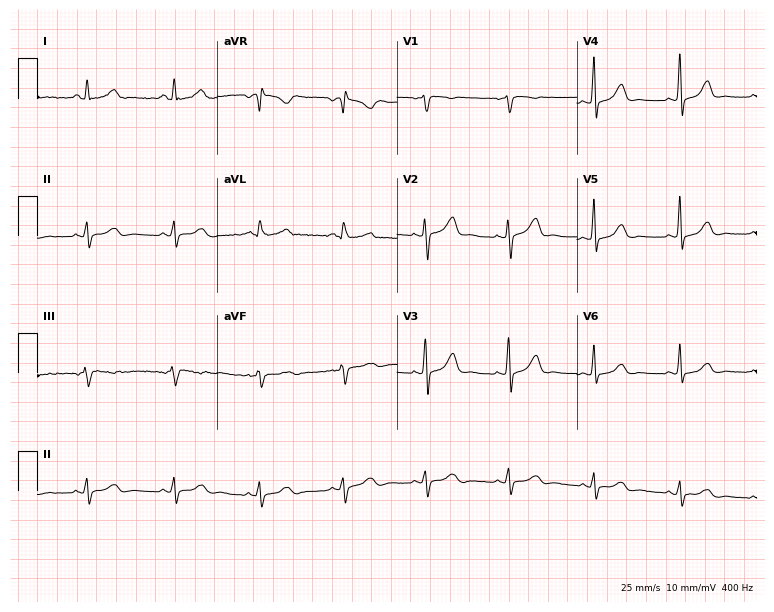
ECG (7.3-second recording at 400 Hz) — a 38-year-old female. Screened for six findings — first-degree AV block, right bundle branch block (RBBB), left bundle branch block (LBBB), sinus bradycardia, atrial fibrillation (AF), sinus tachycardia — none is recorded. Other findings, if any, are not listed.